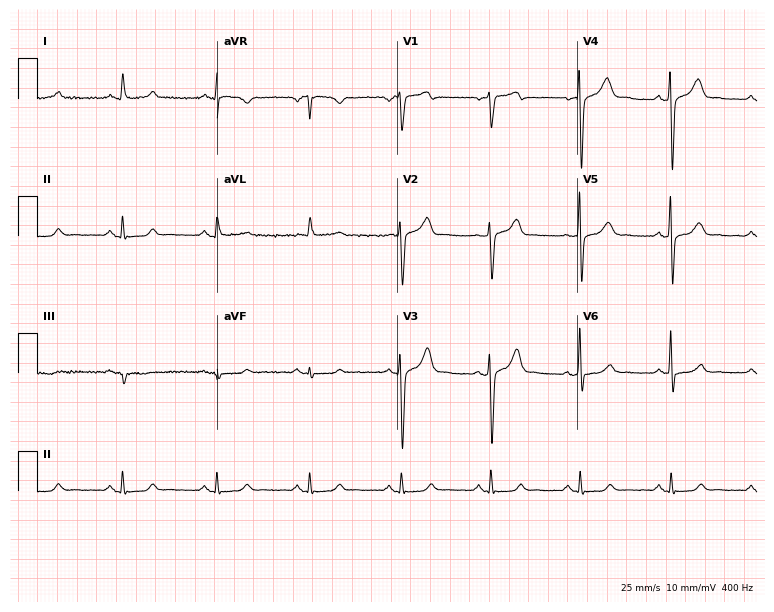
Resting 12-lead electrocardiogram. Patient: a man, 49 years old. None of these six findings is recorded: first-degree AV block, right bundle branch block, left bundle branch block, sinus bradycardia, atrial fibrillation, sinus tachycardia.